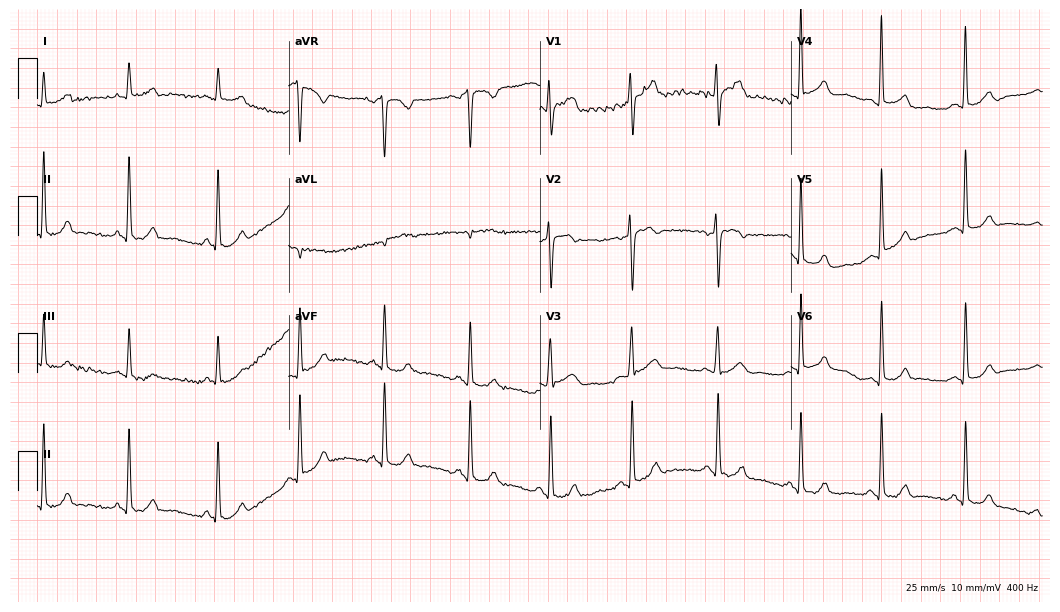
Resting 12-lead electrocardiogram. Patient: a 53-year-old woman. None of these six findings is recorded: first-degree AV block, right bundle branch block, left bundle branch block, sinus bradycardia, atrial fibrillation, sinus tachycardia.